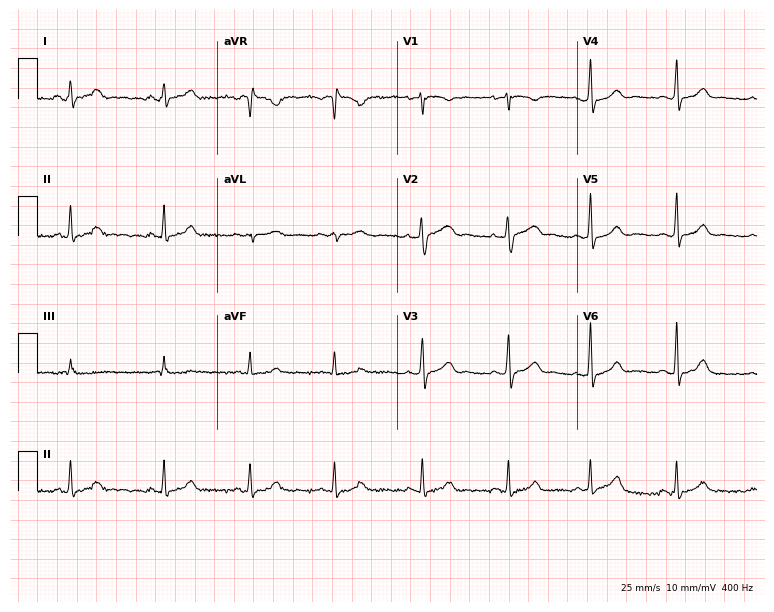
12-lead ECG from a 36-year-old woman. Recorded interpretation: within normal limits.